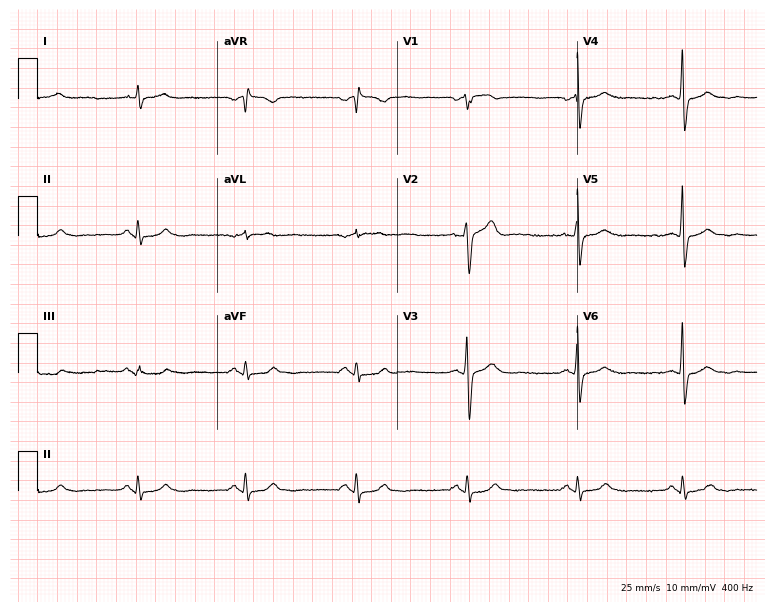
ECG — a 58-year-old male patient. Screened for six findings — first-degree AV block, right bundle branch block (RBBB), left bundle branch block (LBBB), sinus bradycardia, atrial fibrillation (AF), sinus tachycardia — none is recorded. Other findings, if any, are not listed.